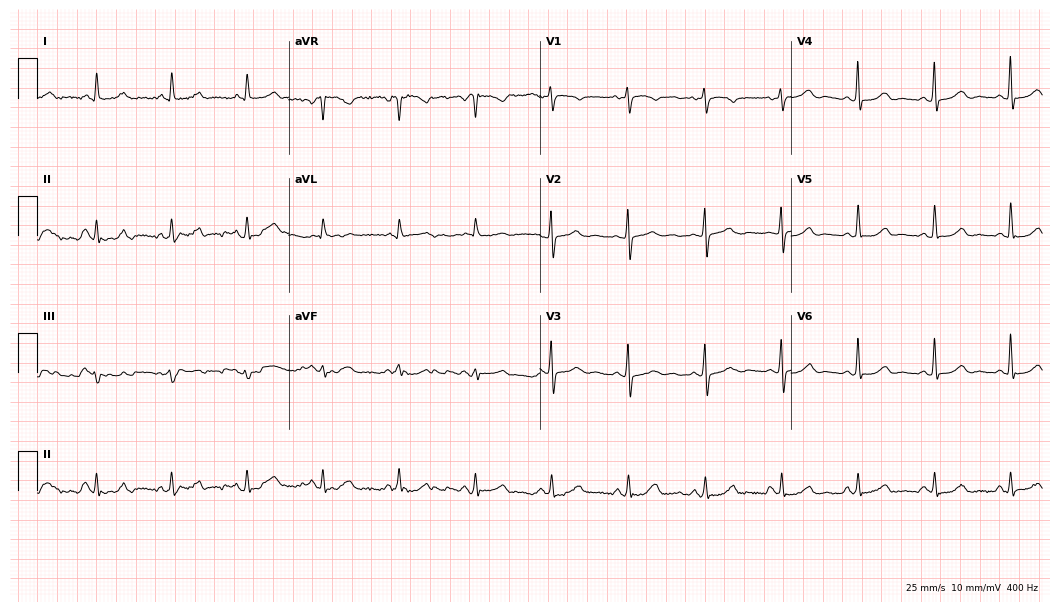
Standard 12-lead ECG recorded from a 77-year-old woman. Read as a normal ECG.